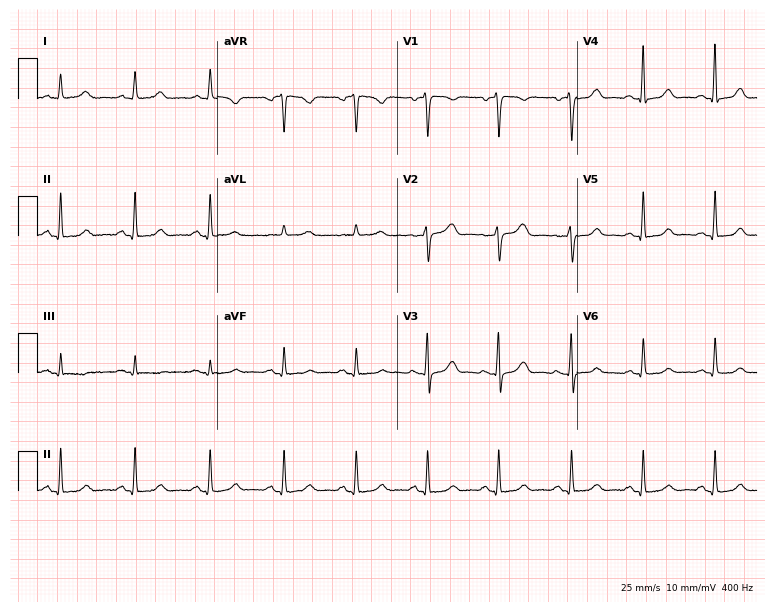
12-lead ECG from a female patient, 55 years old (7.3-second recording at 400 Hz). Recorded interpretation: within normal limits.